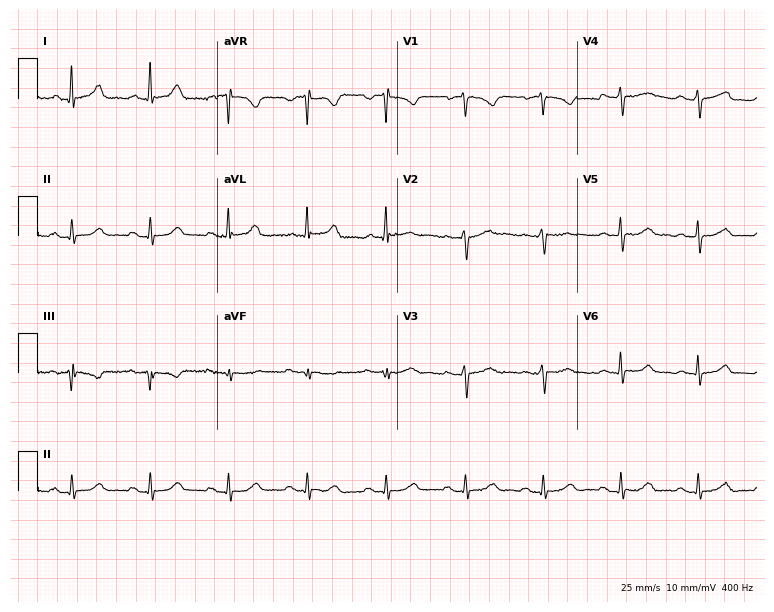
ECG — a 60-year-old female. Screened for six findings — first-degree AV block, right bundle branch block, left bundle branch block, sinus bradycardia, atrial fibrillation, sinus tachycardia — none is recorded. Only these six findings were labelled.